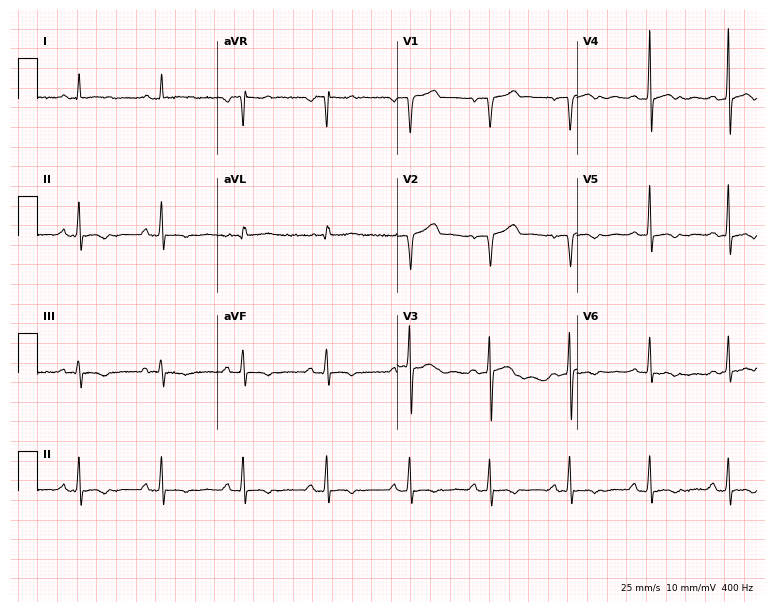
ECG (7.3-second recording at 400 Hz) — a 48-year-old male patient. Screened for six findings — first-degree AV block, right bundle branch block, left bundle branch block, sinus bradycardia, atrial fibrillation, sinus tachycardia — none is recorded. Only these six findings were labelled.